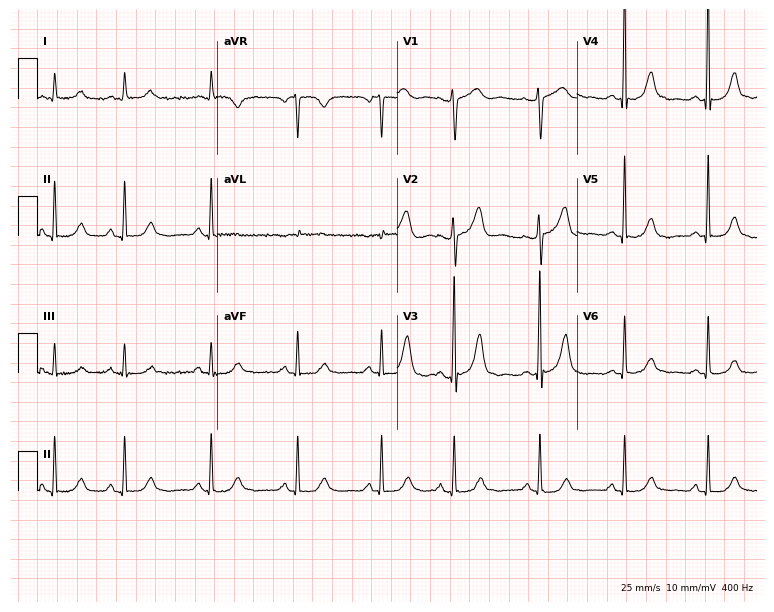
12-lead ECG from a female, 79 years old. Recorded interpretation: within normal limits.